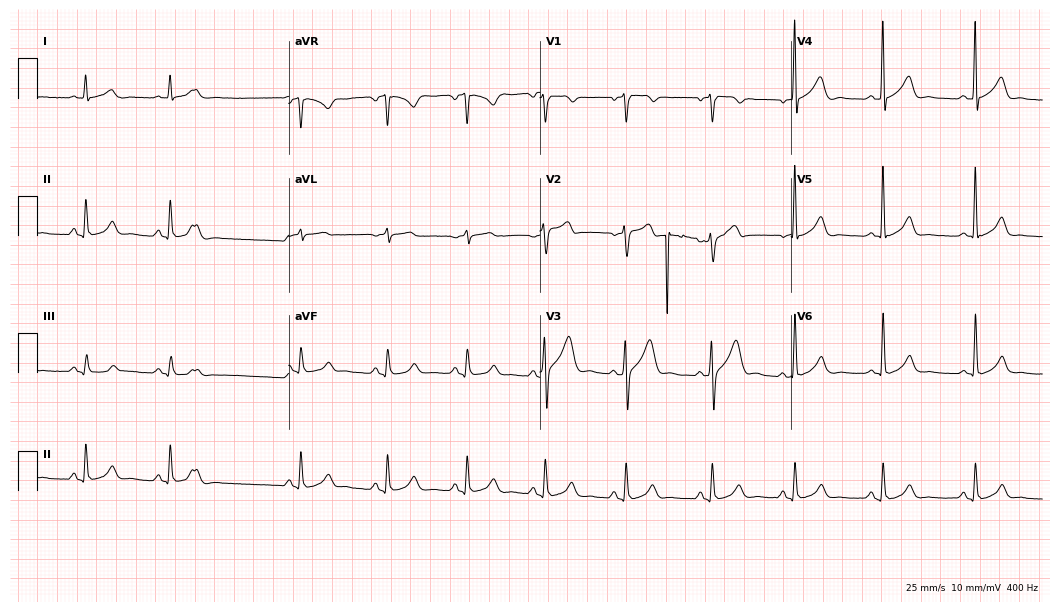
Electrocardiogram (10.2-second recording at 400 Hz), a male patient, 51 years old. Of the six screened findings (first-degree AV block, right bundle branch block, left bundle branch block, sinus bradycardia, atrial fibrillation, sinus tachycardia), none is recorded.